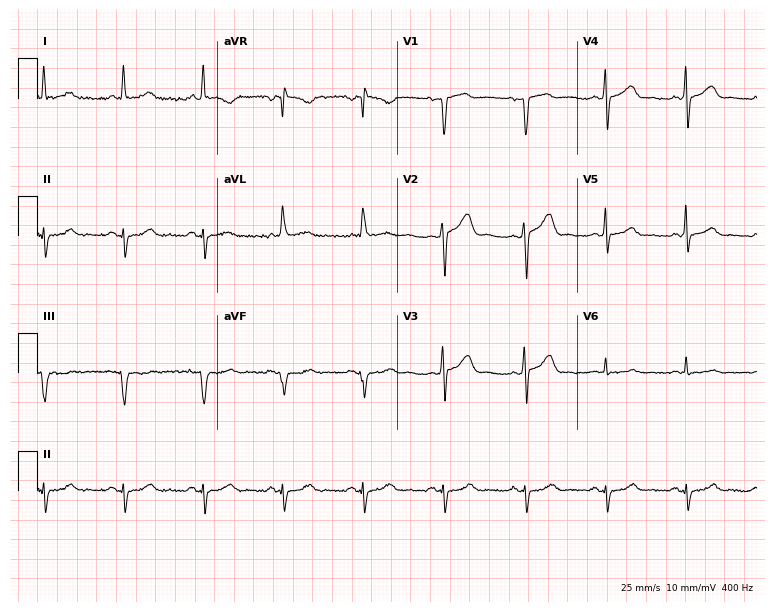
Standard 12-lead ECG recorded from a man, 70 years old (7.3-second recording at 400 Hz). None of these six findings is recorded: first-degree AV block, right bundle branch block, left bundle branch block, sinus bradycardia, atrial fibrillation, sinus tachycardia.